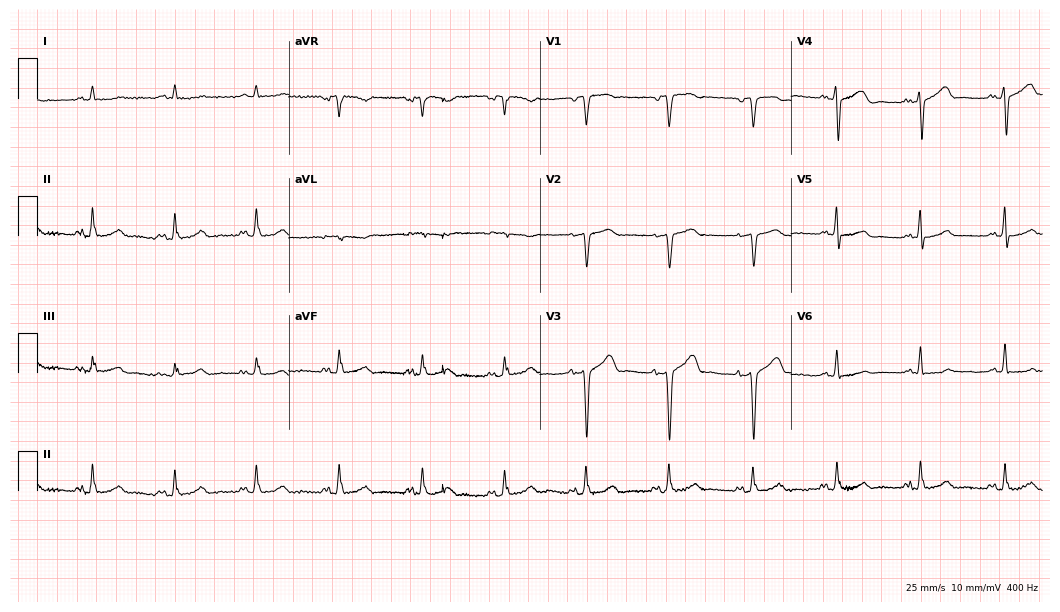
Resting 12-lead electrocardiogram. Patient: a male, 81 years old. None of these six findings is recorded: first-degree AV block, right bundle branch block, left bundle branch block, sinus bradycardia, atrial fibrillation, sinus tachycardia. Findings outside these six are not listed.